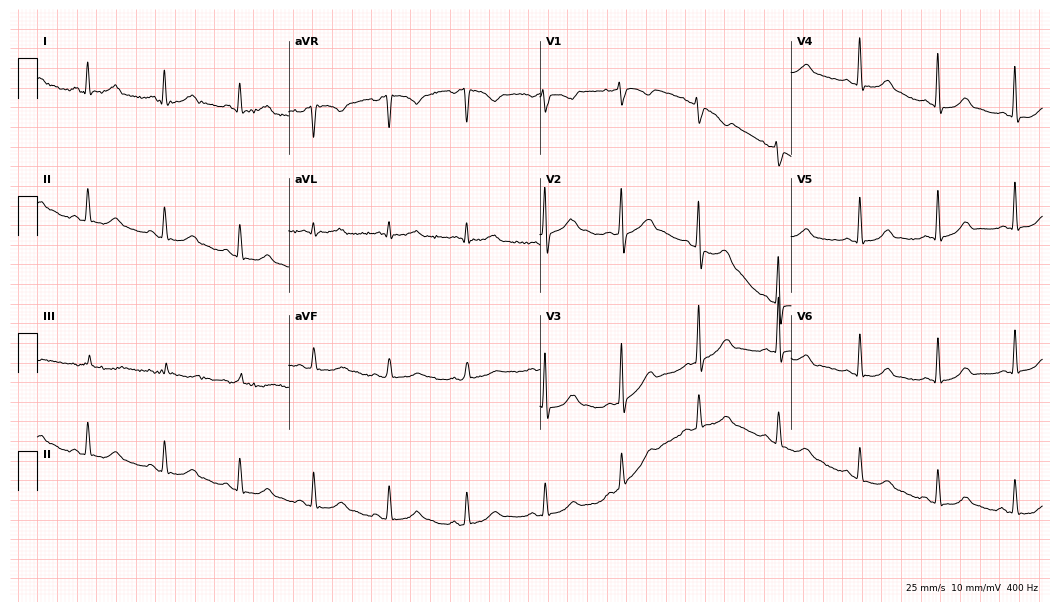
Electrocardiogram, a 36-year-old female. Of the six screened findings (first-degree AV block, right bundle branch block, left bundle branch block, sinus bradycardia, atrial fibrillation, sinus tachycardia), none is recorded.